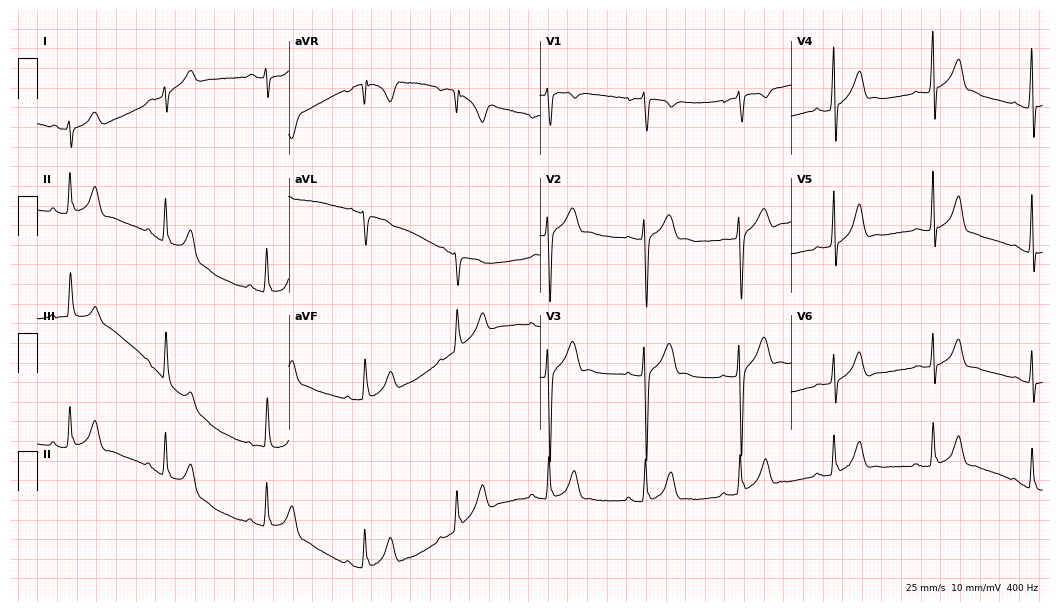
ECG — a 20-year-old man. Labelled as a normal ECG.